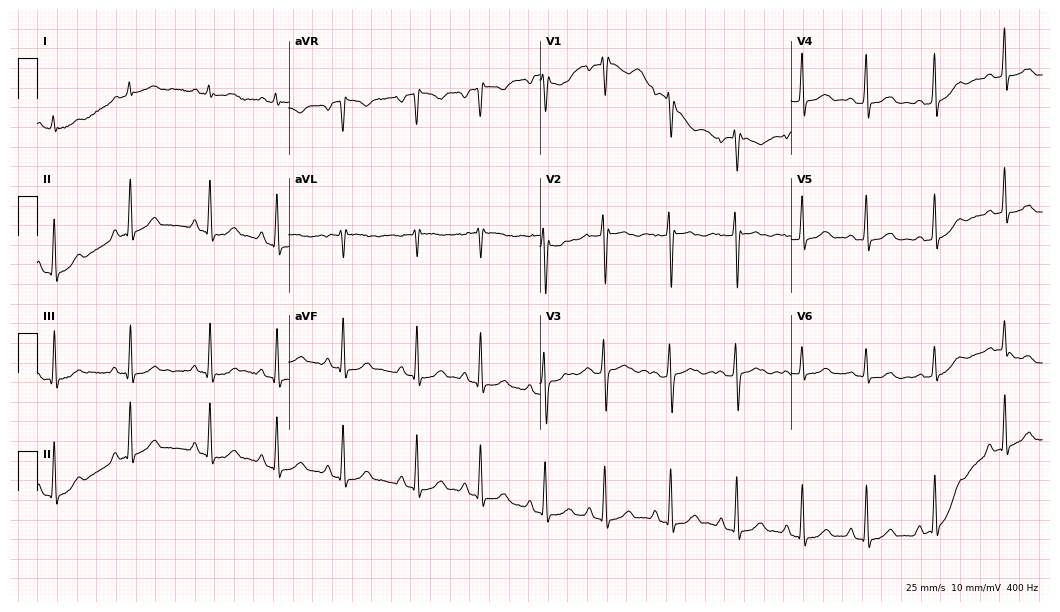
Resting 12-lead electrocardiogram (10.2-second recording at 400 Hz). Patient: a woman, 21 years old. Read as a normal ECG.